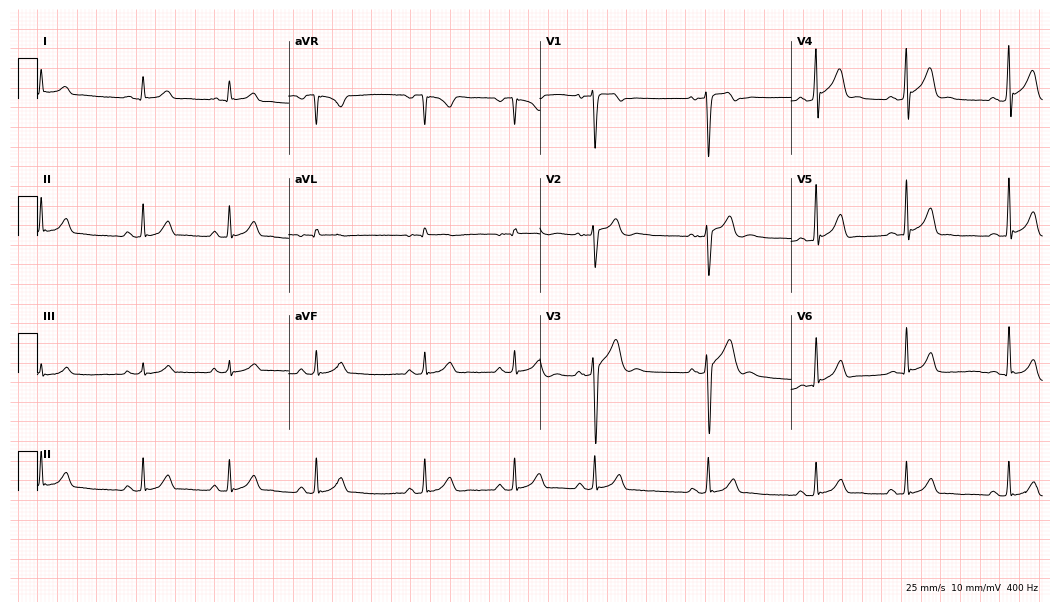
Electrocardiogram (10.2-second recording at 400 Hz), a man, 18 years old. Overall reading on record: normal ECG.